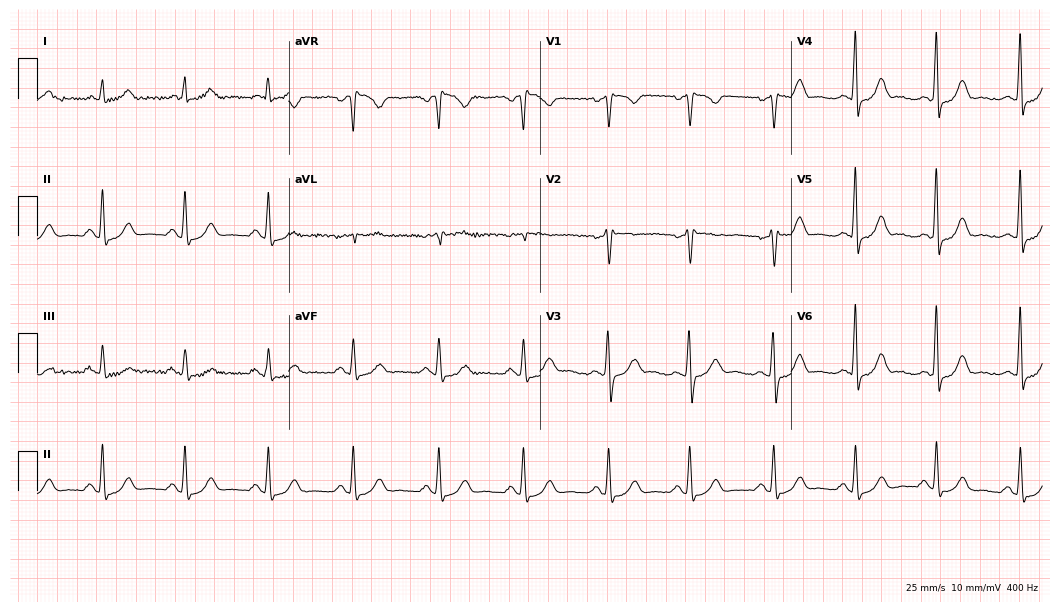
12-lead ECG from a female patient, 33 years old. Screened for six findings — first-degree AV block, right bundle branch block, left bundle branch block, sinus bradycardia, atrial fibrillation, sinus tachycardia — none is recorded. Only these six findings were labelled.